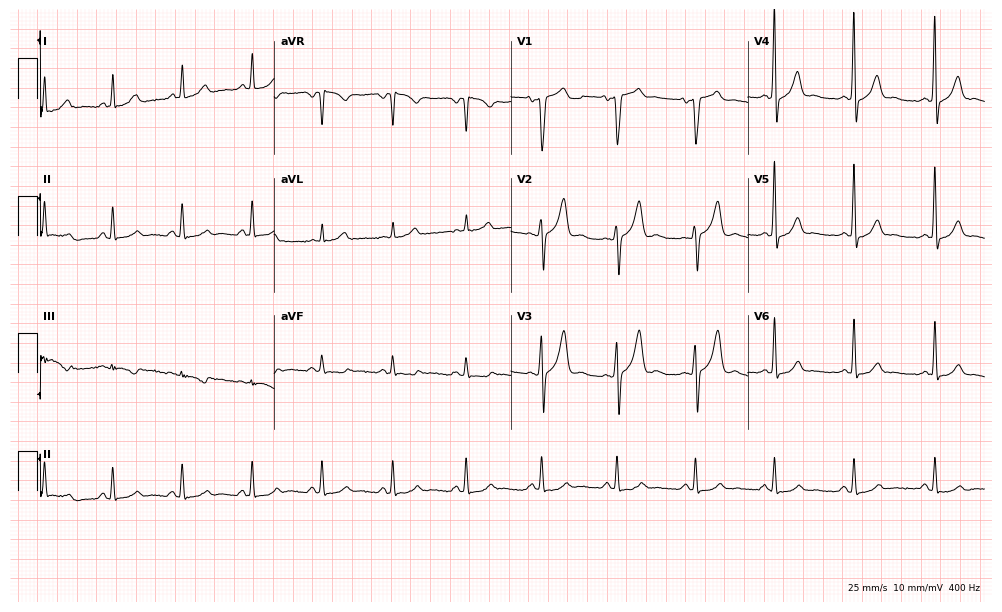
ECG — a 39-year-old man. Labelled as a normal ECG.